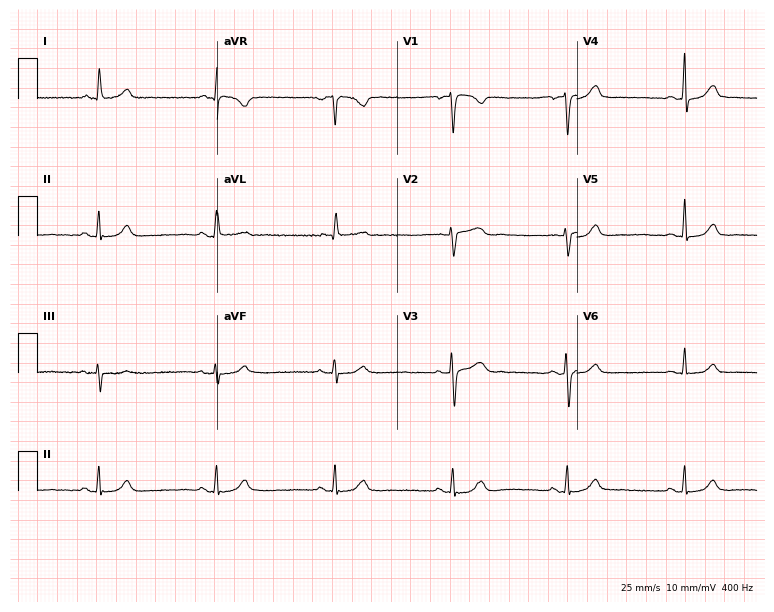
ECG — a woman, 65 years old. Labelled as a normal ECG.